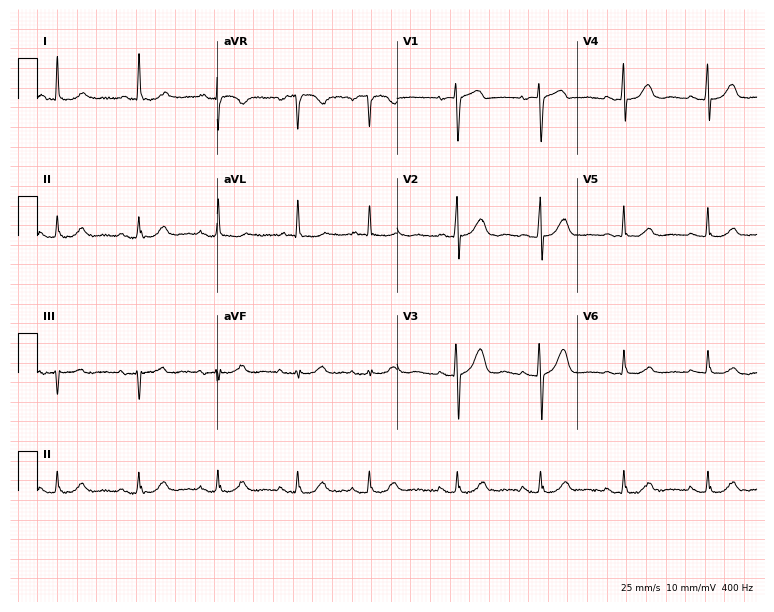
Resting 12-lead electrocardiogram (7.3-second recording at 400 Hz). Patient: a 70-year-old woman. None of these six findings is recorded: first-degree AV block, right bundle branch block, left bundle branch block, sinus bradycardia, atrial fibrillation, sinus tachycardia.